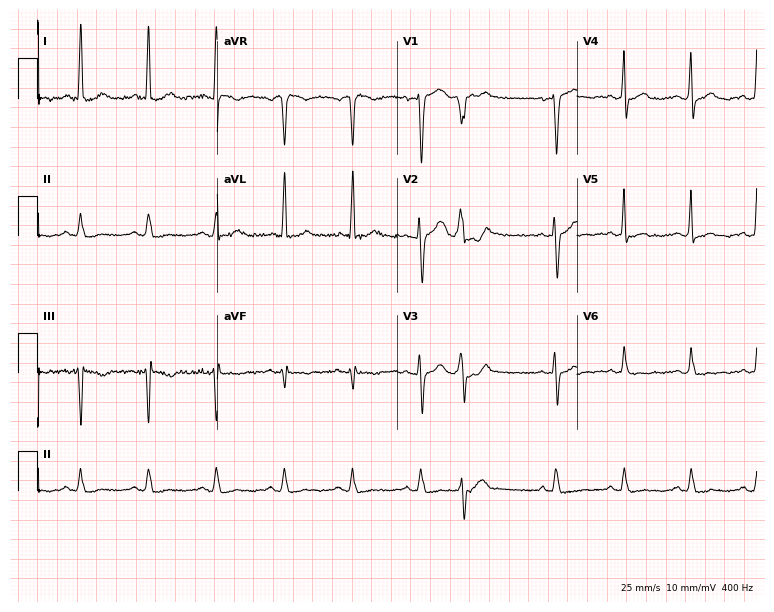
Standard 12-lead ECG recorded from a woman, 60 years old. None of these six findings is recorded: first-degree AV block, right bundle branch block (RBBB), left bundle branch block (LBBB), sinus bradycardia, atrial fibrillation (AF), sinus tachycardia.